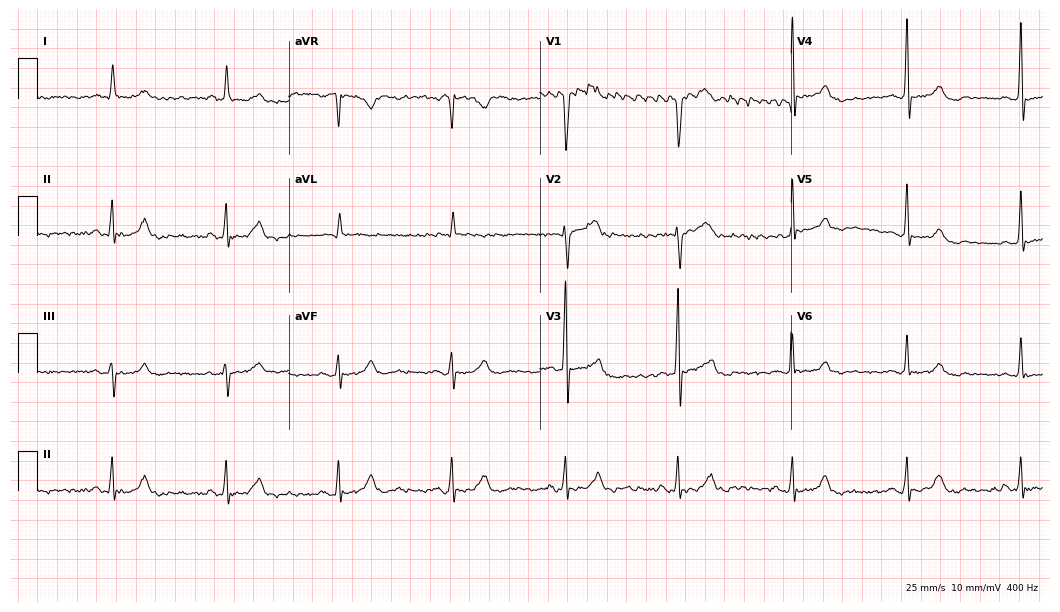
ECG (10.2-second recording at 400 Hz) — a male patient, 61 years old. Labelled as a normal ECG.